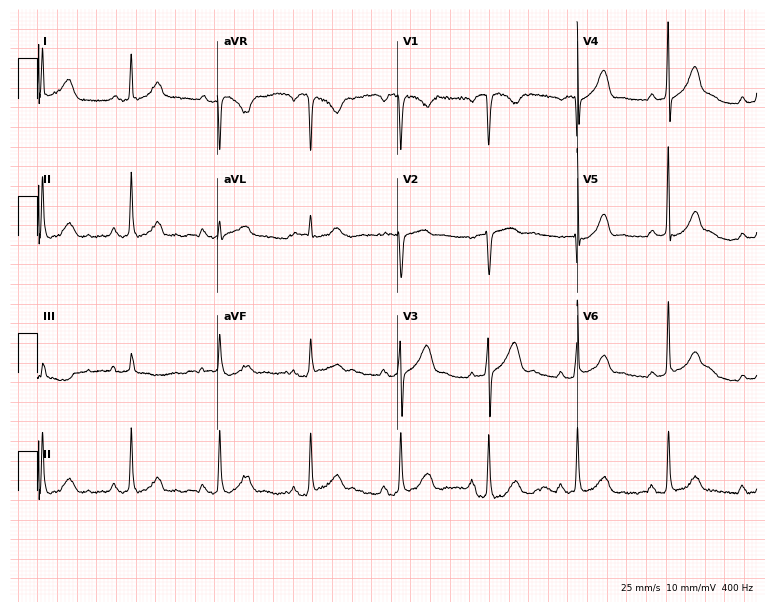
Electrocardiogram, a woman, 55 years old. Overall reading on record: normal ECG.